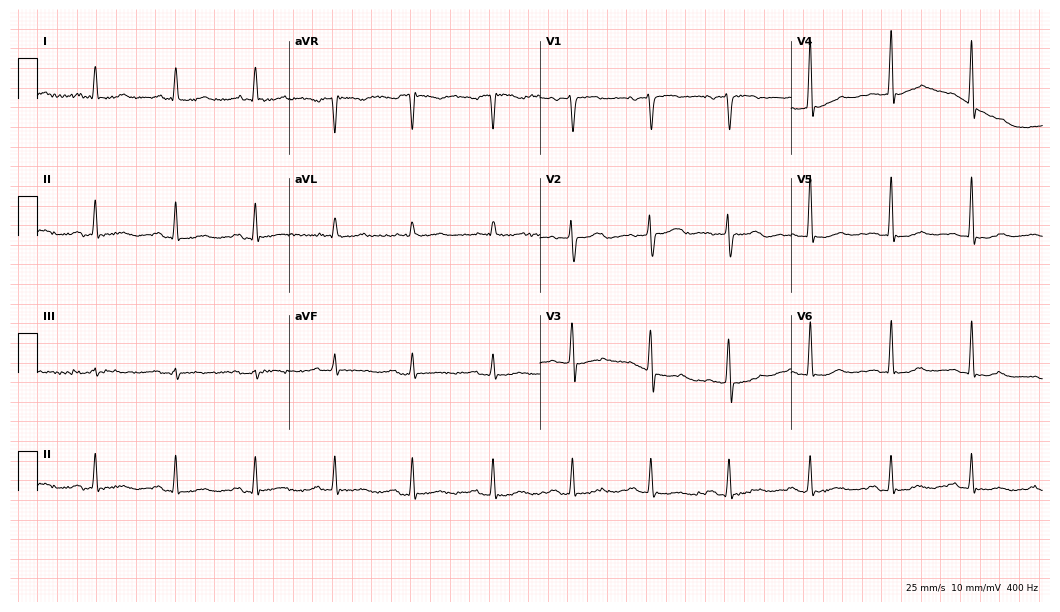
ECG — a female, 60 years old. Labelled as a normal ECG.